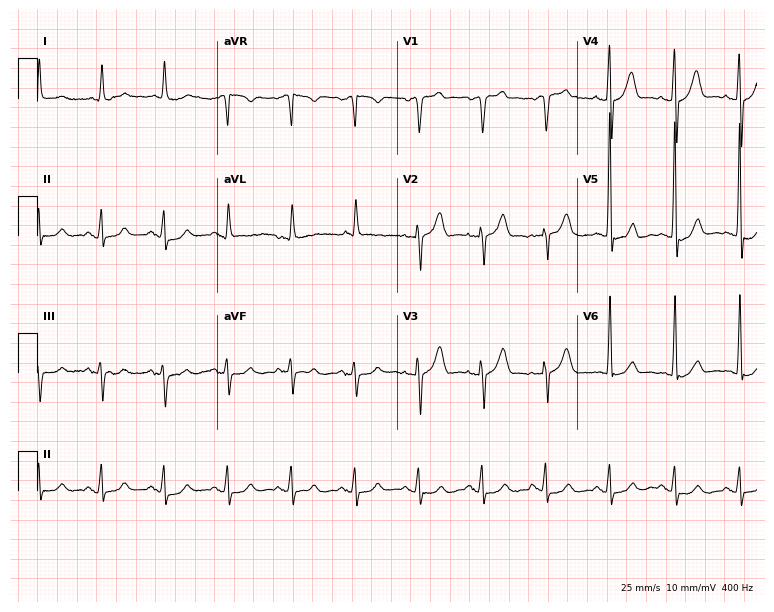
ECG — a man, 73 years old. Labelled as a normal ECG.